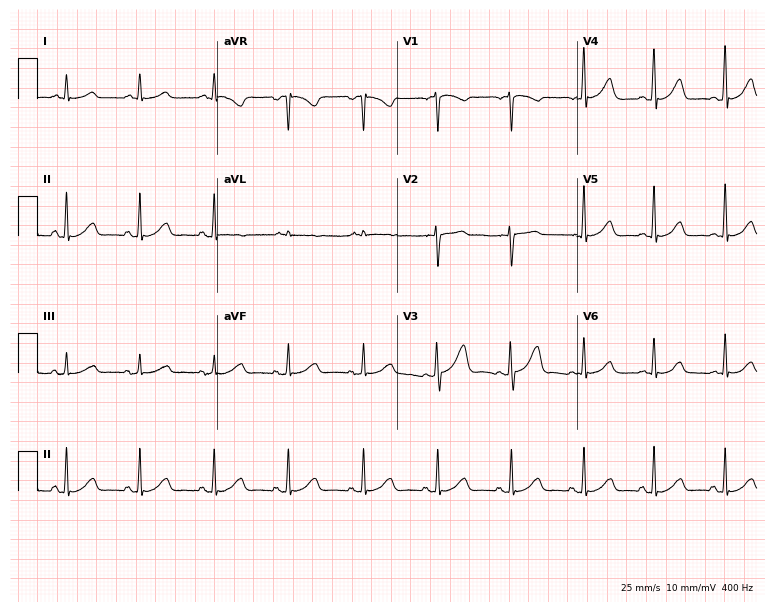
Standard 12-lead ECG recorded from a 27-year-old woman (7.3-second recording at 400 Hz). None of these six findings is recorded: first-degree AV block, right bundle branch block (RBBB), left bundle branch block (LBBB), sinus bradycardia, atrial fibrillation (AF), sinus tachycardia.